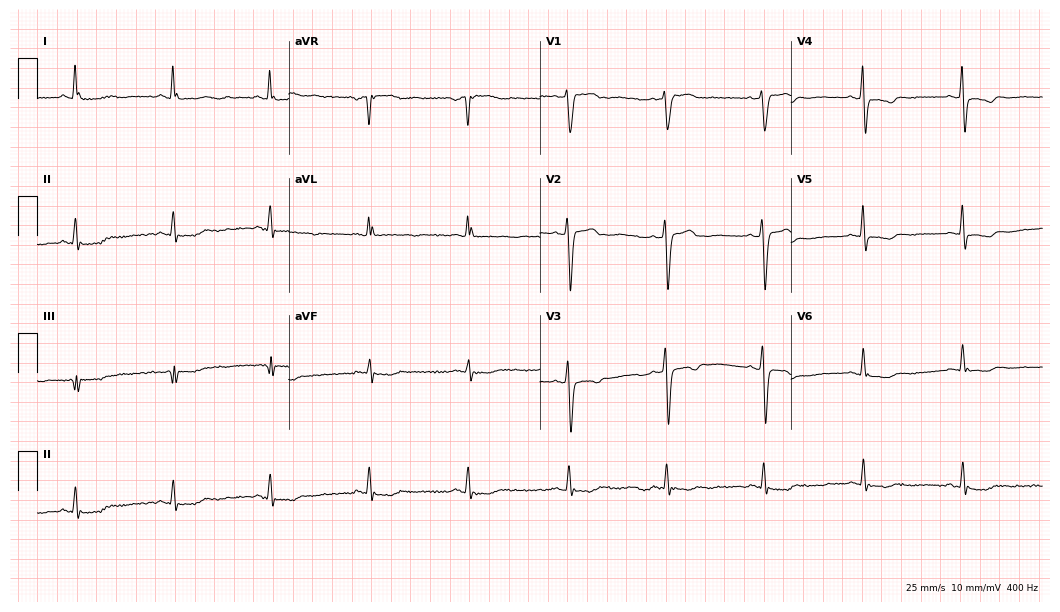
12-lead ECG (10.2-second recording at 400 Hz) from a 61-year-old female. Screened for six findings — first-degree AV block, right bundle branch block (RBBB), left bundle branch block (LBBB), sinus bradycardia, atrial fibrillation (AF), sinus tachycardia — none is recorded.